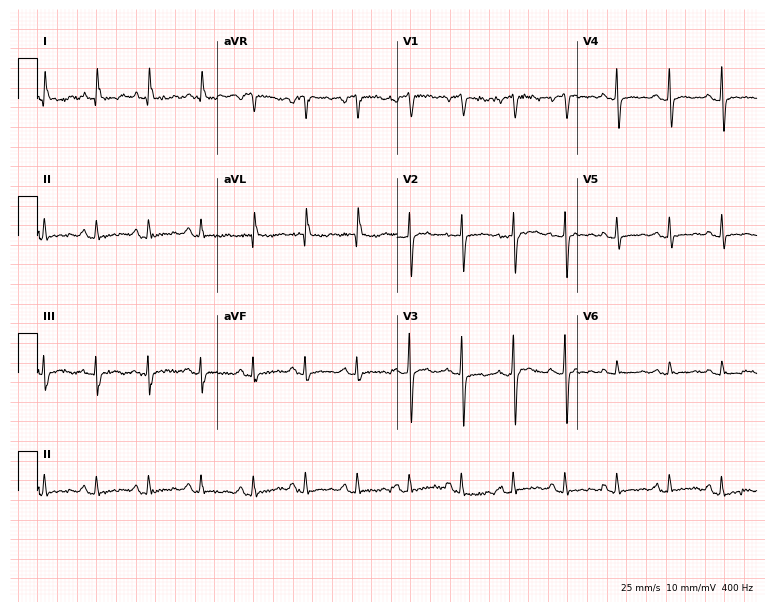
Resting 12-lead electrocardiogram. Patient: a 44-year-old male. The tracing shows sinus tachycardia (a sinus rate of 100 beats per minute or more).